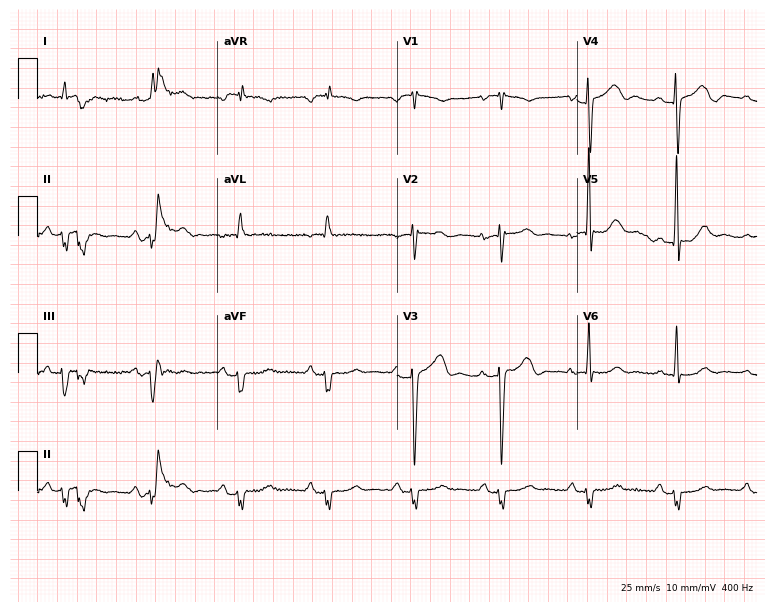
Electrocardiogram, a 77-year-old man. Of the six screened findings (first-degree AV block, right bundle branch block, left bundle branch block, sinus bradycardia, atrial fibrillation, sinus tachycardia), none is recorded. Findings outside these six are not listed.